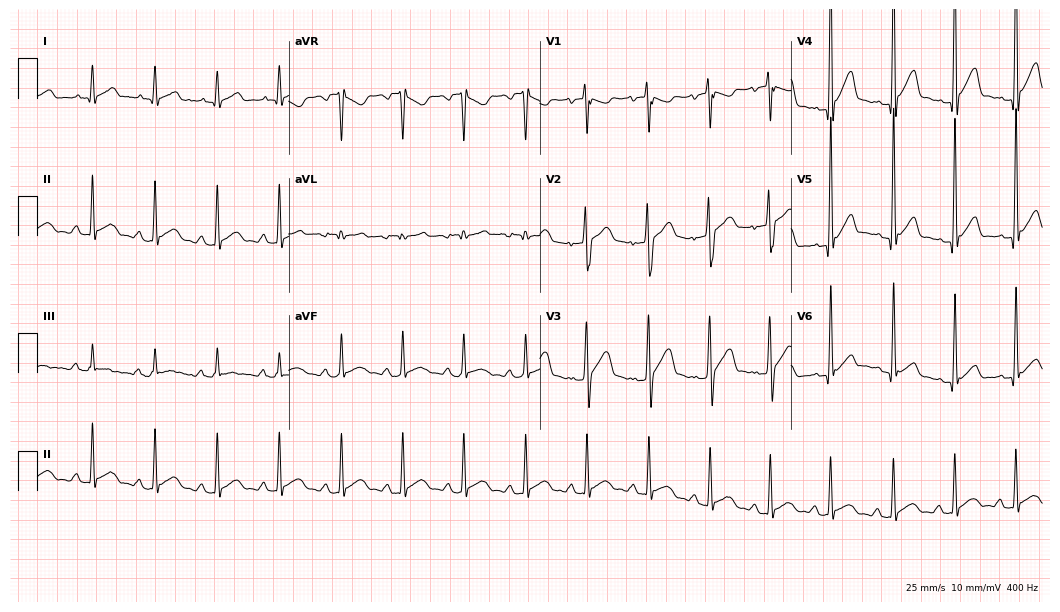
12-lead ECG from a 27-year-old female (10.2-second recording at 400 Hz). No first-degree AV block, right bundle branch block, left bundle branch block, sinus bradycardia, atrial fibrillation or sinus tachycardia recorded for this tracing.